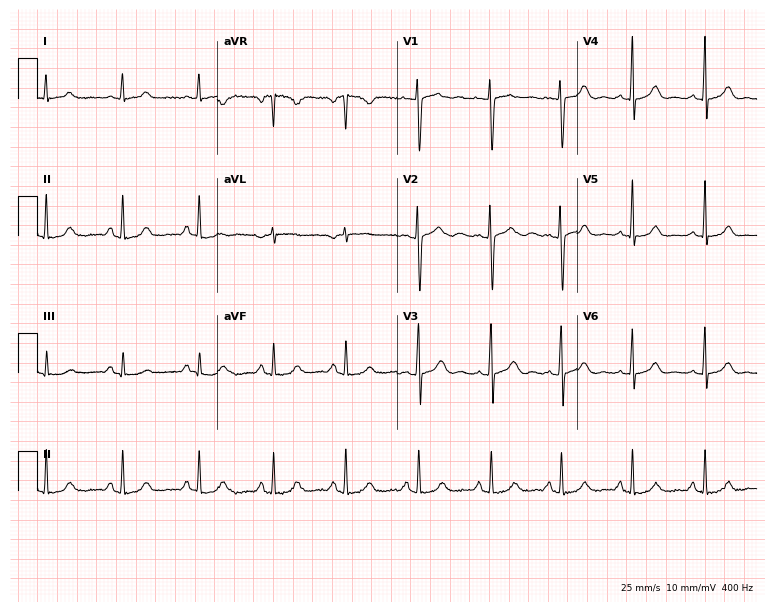
Standard 12-lead ECG recorded from a 33-year-old woman. None of these six findings is recorded: first-degree AV block, right bundle branch block, left bundle branch block, sinus bradycardia, atrial fibrillation, sinus tachycardia.